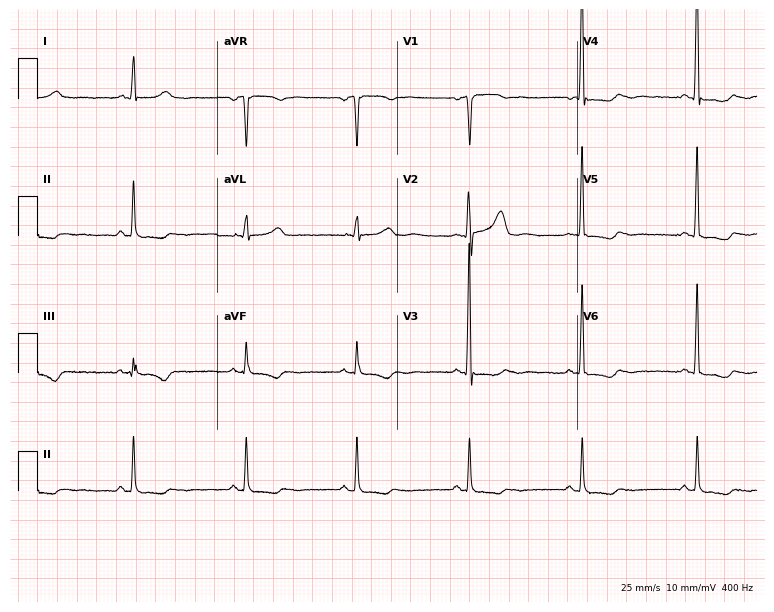
12-lead ECG from a 53-year-old female (7.3-second recording at 400 Hz). No first-degree AV block, right bundle branch block (RBBB), left bundle branch block (LBBB), sinus bradycardia, atrial fibrillation (AF) or sinus tachycardia recorded for this tracing. Only these six findings were labelled.